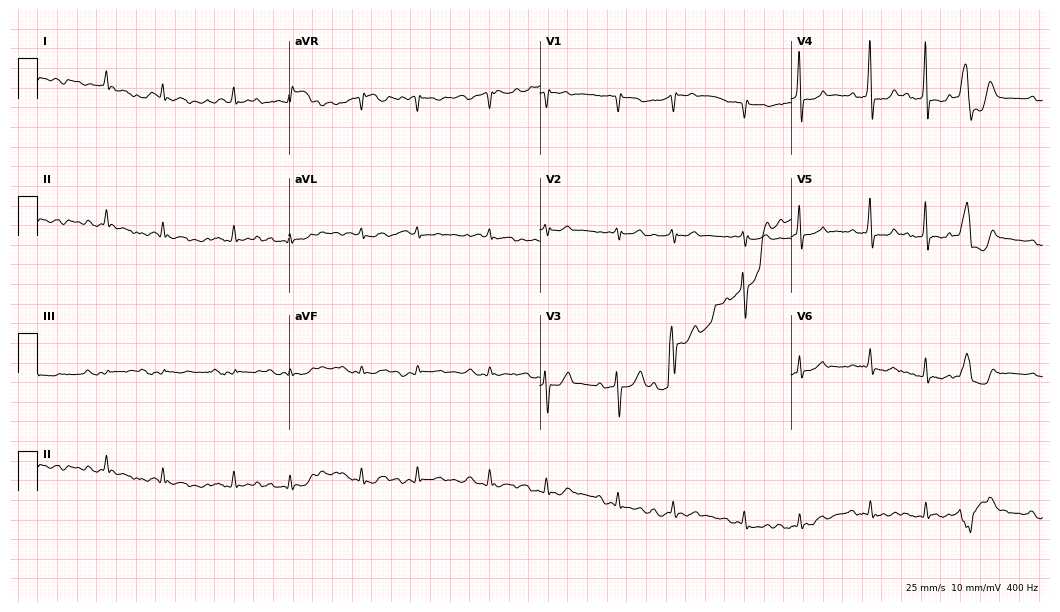
Electrocardiogram (10.2-second recording at 400 Hz), a male, 72 years old. Of the six screened findings (first-degree AV block, right bundle branch block (RBBB), left bundle branch block (LBBB), sinus bradycardia, atrial fibrillation (AF), sinus tachycardia), none is recorded. Other findings, if any, are not listed.